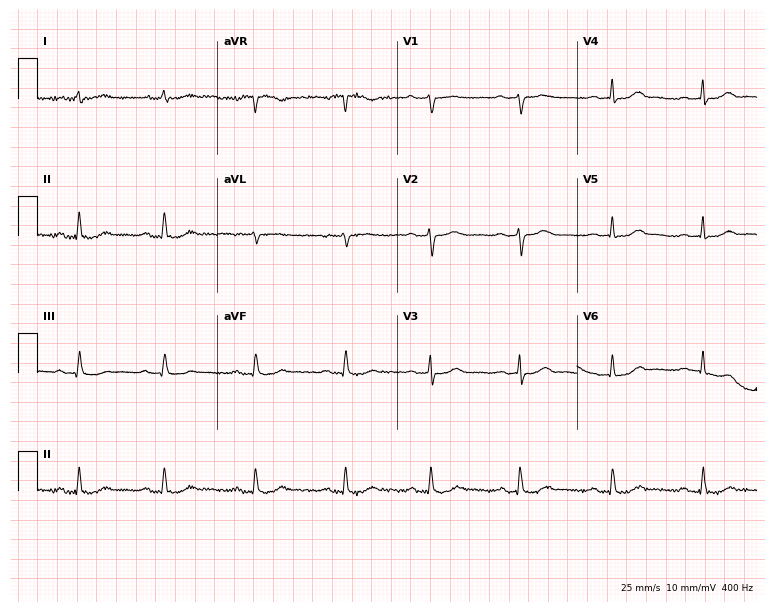
12-lead ECG from a woman, 38 years old (7.3-second recording at 400 Hz). No first-degree AV block, right bundle branch block (RBBB), left bundle branch block (LBBB), sinus bradycardia, atrial fibrillation (AF) or sinus tachycardia recorded for this tracing.